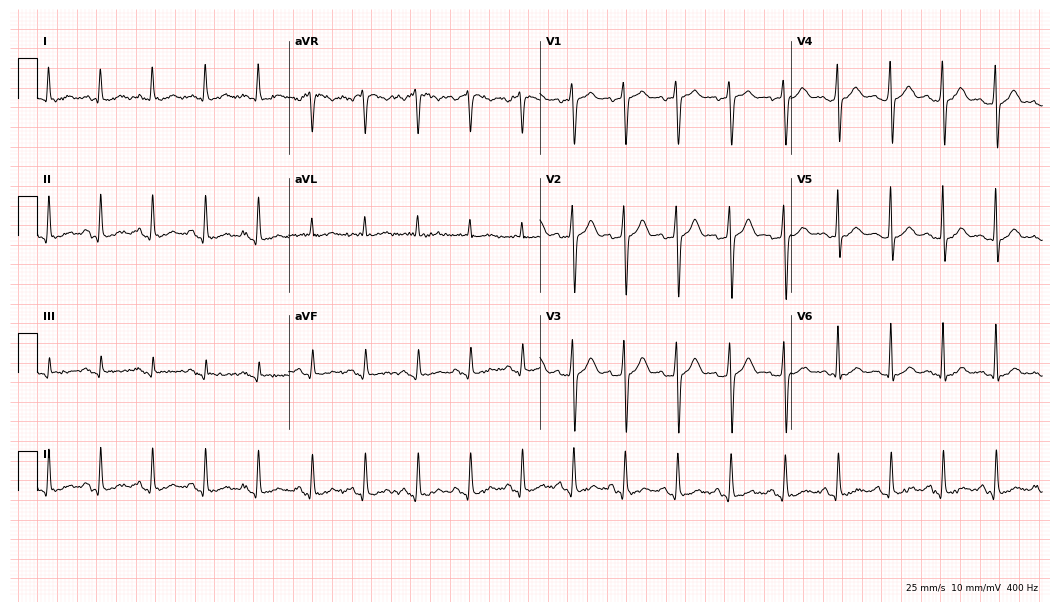
Standard 12-lead ECG recorded from a male, 31 years old (10.2-second recording at 400 Hz). The tracing shows sinus tachycardia (a sinus rate of 100 beats per minute or more).